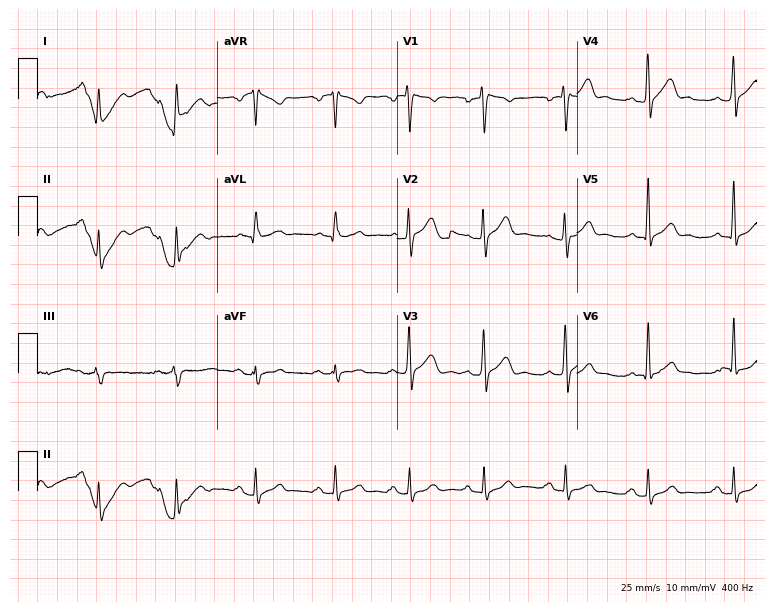
ECG — a man, 38 years old. Labelled as a normal ECG.